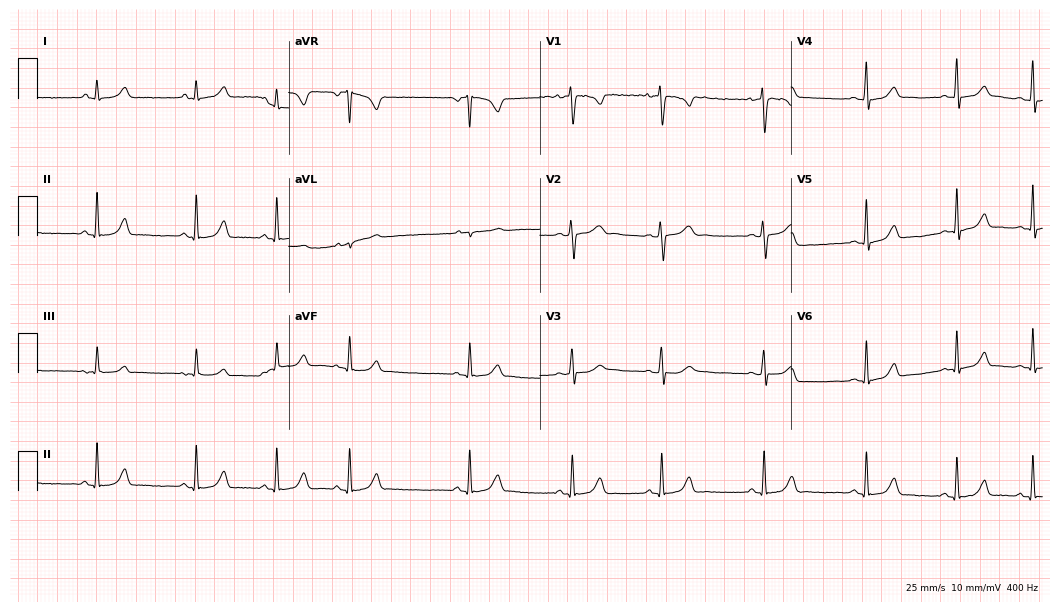
Standard 12-lead ECG recorded from an 18-year-old female. Read as a normal ECG.